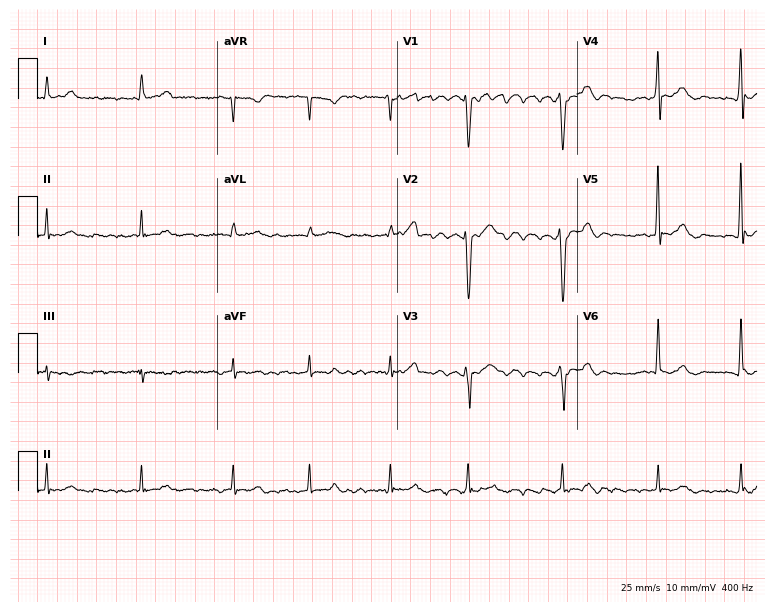
12-lead ECG from a male, 53 years old (7.3-second recording at 400 Hz). Shows atrial fibrillation.